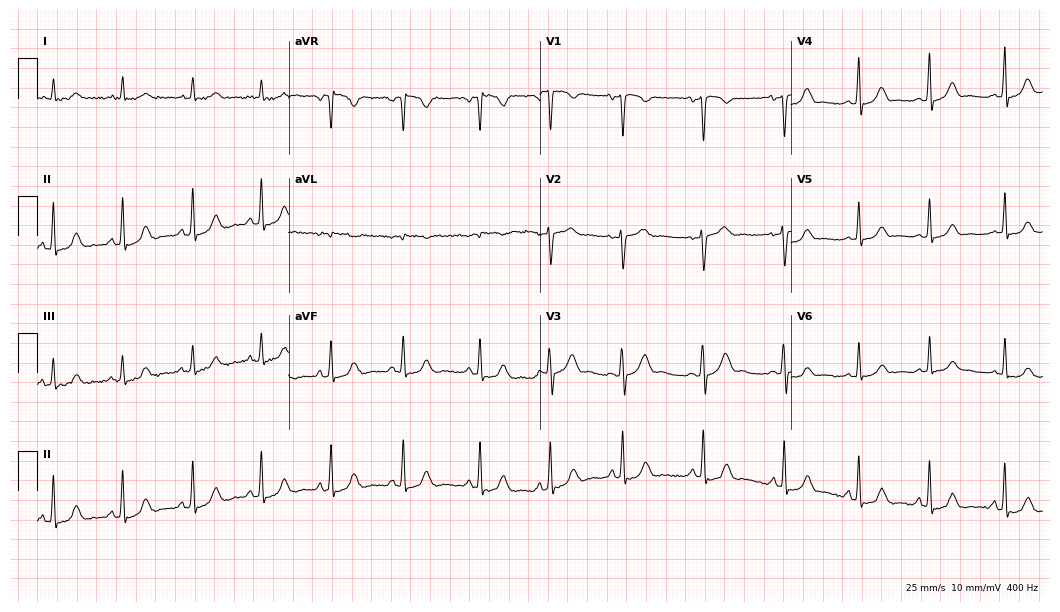
ECG (10.2-second recording at 400 Hz) — a female, 30 years old. Labelled as a normal ECG.